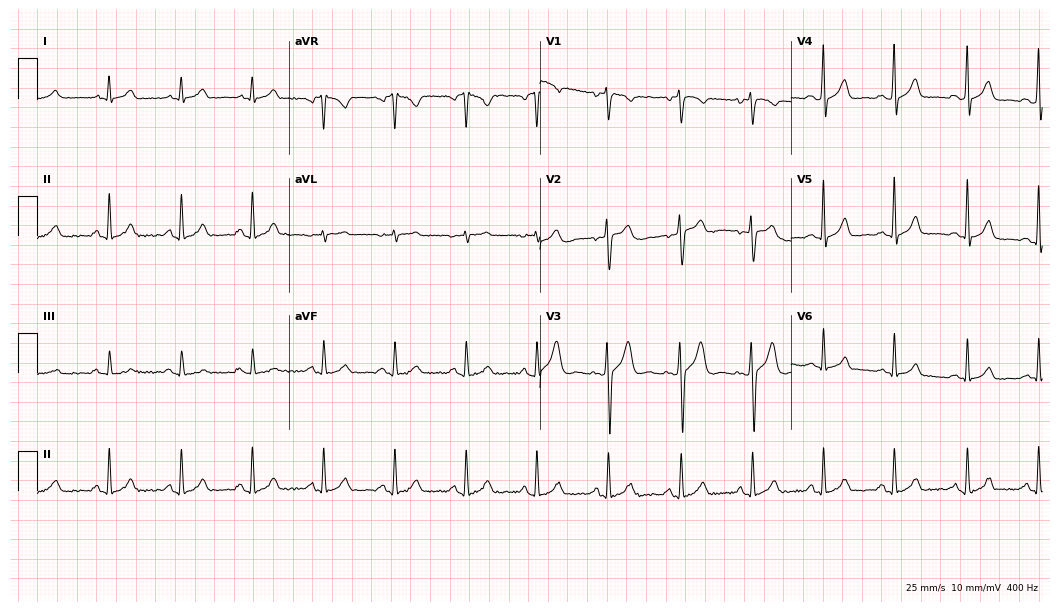
Resting 12-lead electrocardiogram. Patient: a female, 32 years old. Read as a normal ECG.